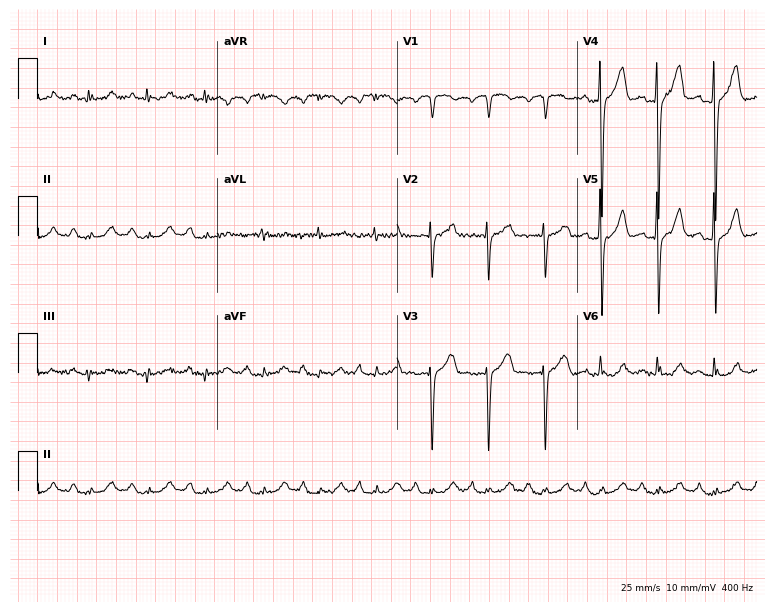
12-lead ECG from a 65-year-old man. Shows sinus tachycardia (a sinus rate of 100 beats per minute or more).